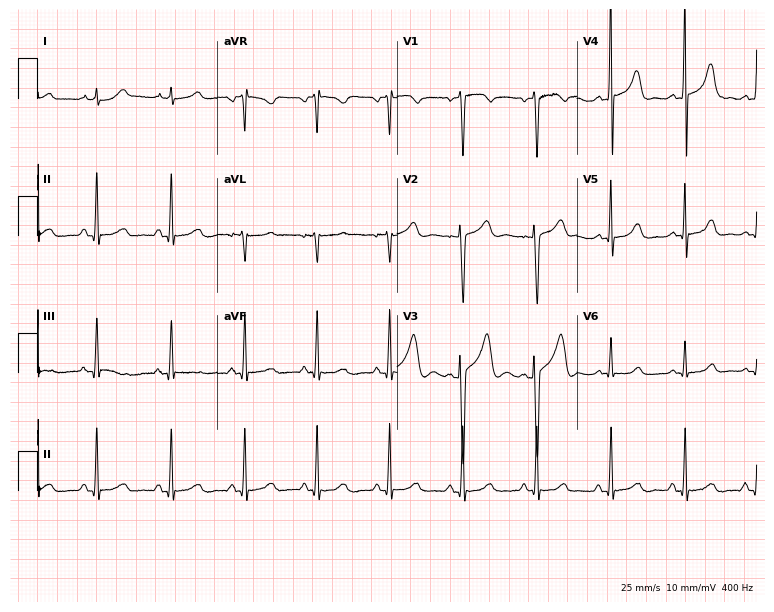
12-lead ECG from a woman, 23 years old. No first-degree AV block, right bundle branch block, left bundle branch block, sinus bradycardia, atrial fibrillation or sinus tachycardia recorded for this tracing.